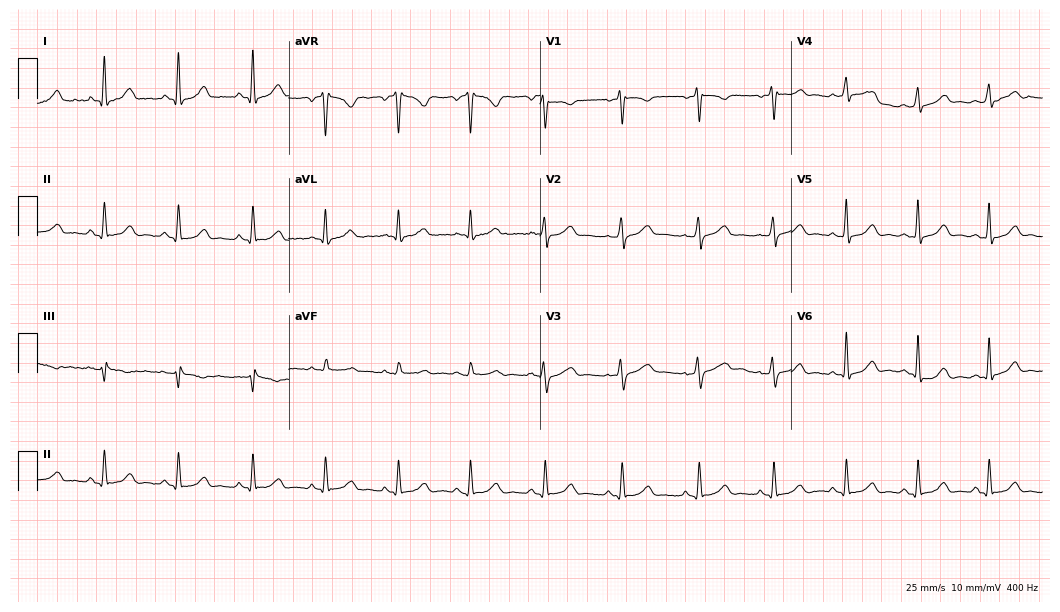
ECG (10.2-second recording at 400 Hz) — a female patient, 40 years old. Labelled as a normal ECG.